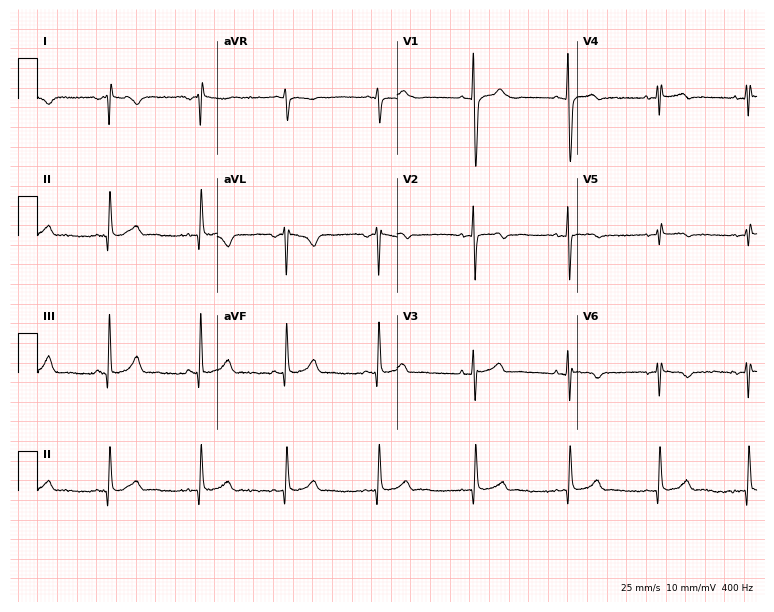
Resting 12-lead electrocardiogram. Patient: a female, 30 years old. None of these six findings is recorded: first-degree AV block, right bundle branch block, left bundle branch block, sinus bradycardia, atrial fibrillation, sinus tachycardia.